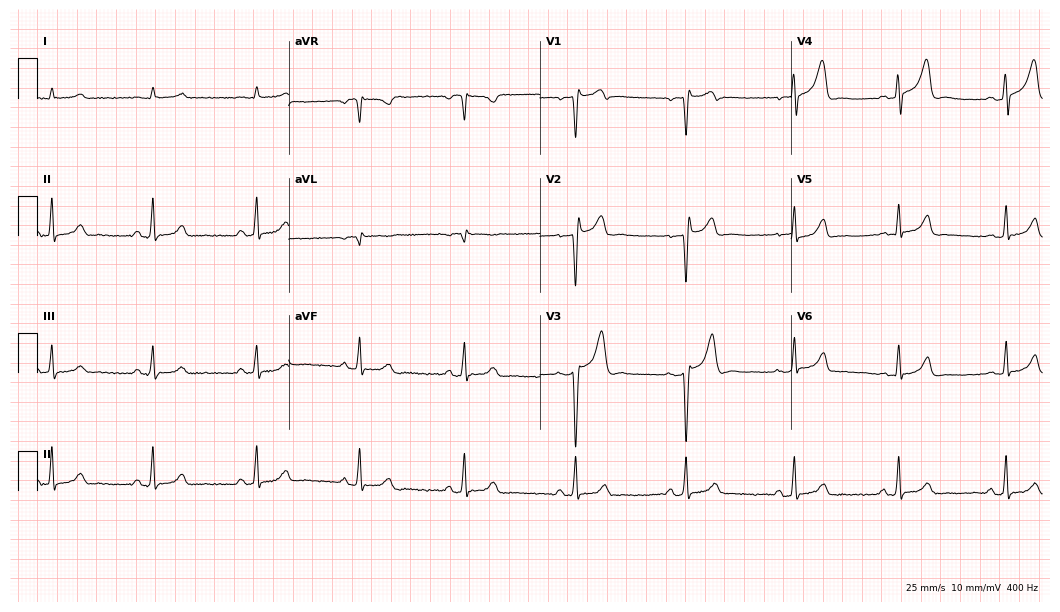
Resting 12-lead electrocardiogram (10.2-second recording at 400 Hz). Patient: a 42-year-old male. None of these six findings is recorded: first-degree AV block, right bundle branch block, left bundle branch block, sinus bradycardia, atrial fibrillation, sinus tachycardia. Other findings, if any, are not listed.